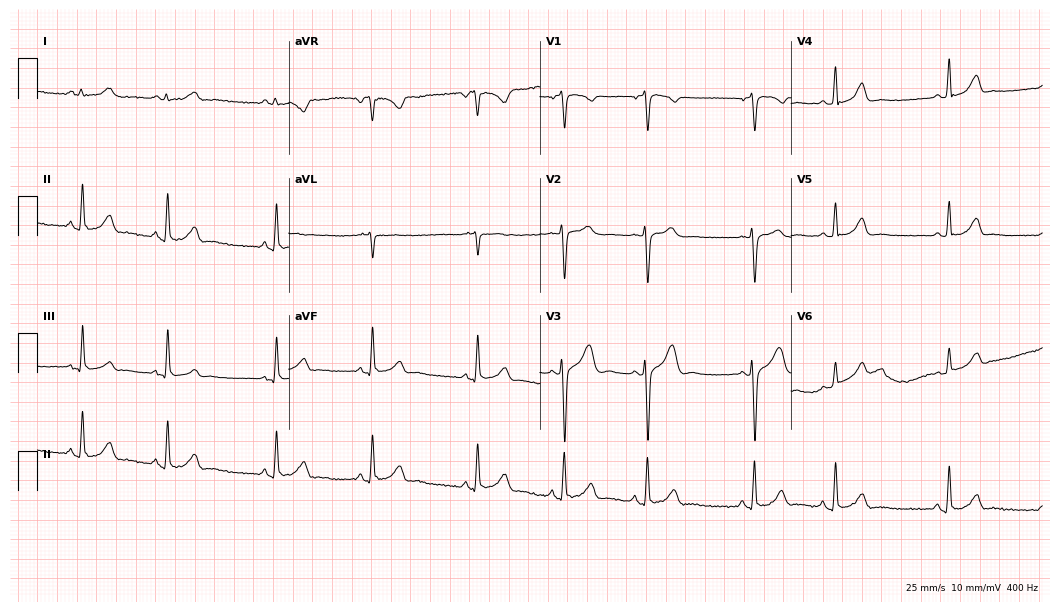
12-lead ECG from a 22-year-old female. Recorded interpretation: within normal limits.